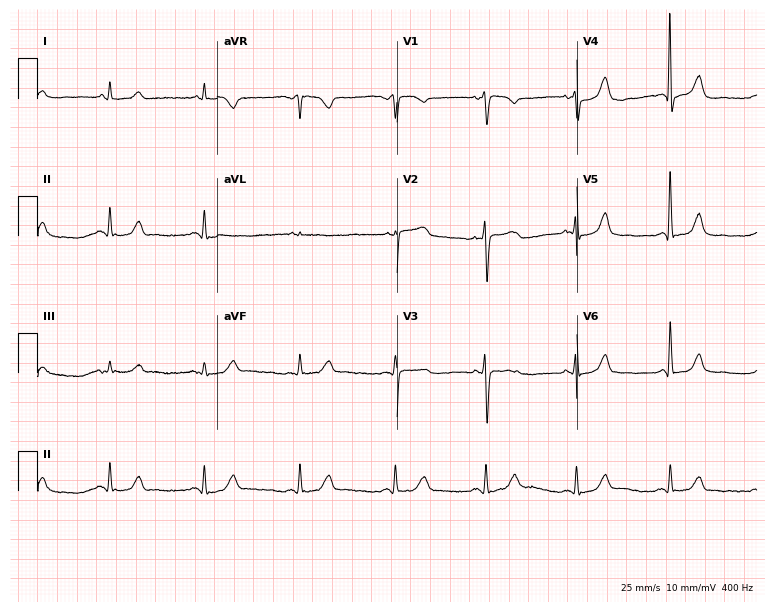
Resting 12-lead electrocardiogram (7.3-second recording at 400 Hz). Patient: a female, 83 years old. Read as a normal ECG.